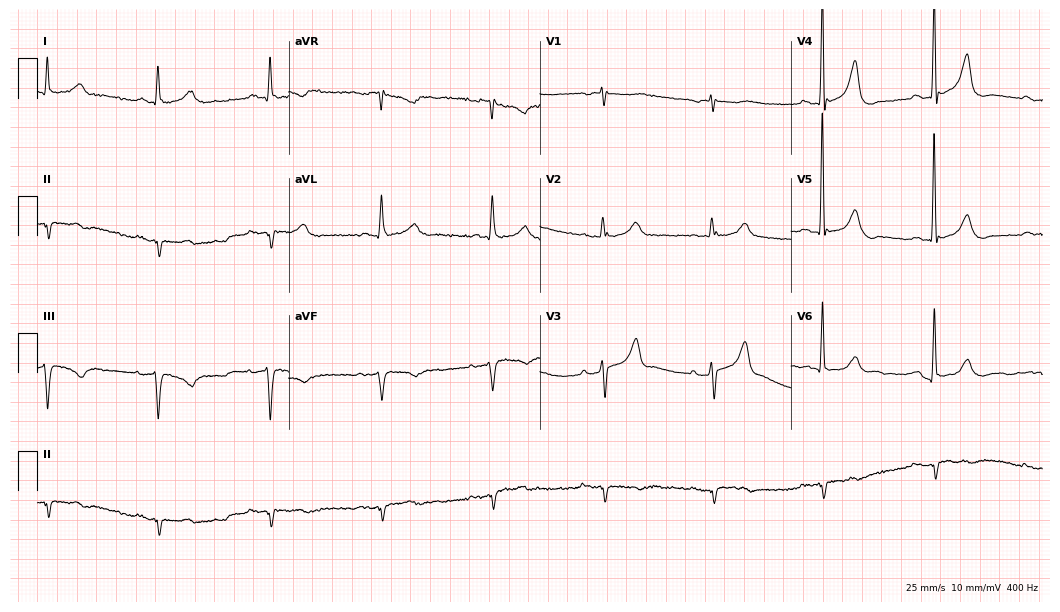
Electrocardiogram (10.2-second recording at 400 Hz), a male, 78 years old. Of the six screened findings (first-degree AV block, right bundle branch block, left bundle branch block, sinus bradycardia, atrial fibrillation, sinus tachycardia), none is recorded. Findings outside these six are not listed.